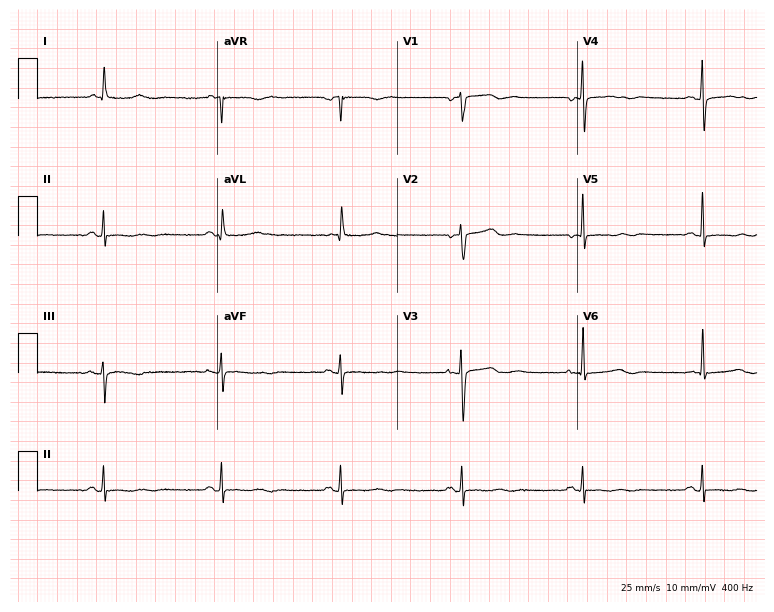
Resting 12-lead electrocardiogram (7.3-second recording at 400 Hz). Patient: a 62-year-old female. The tracing shows sinus bradycardia (a sinus rate of 50 beats per minute or less).